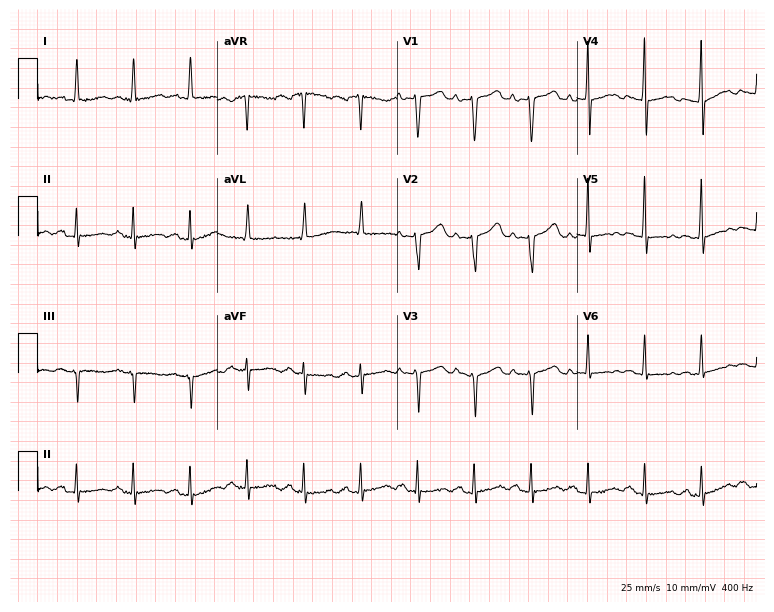
12-lead ECG from a 52-year-old female patient (7.3-second recording at 400 Hz). Shows sinus tachycardia (a sinus rate of 100 beats per minute or more).